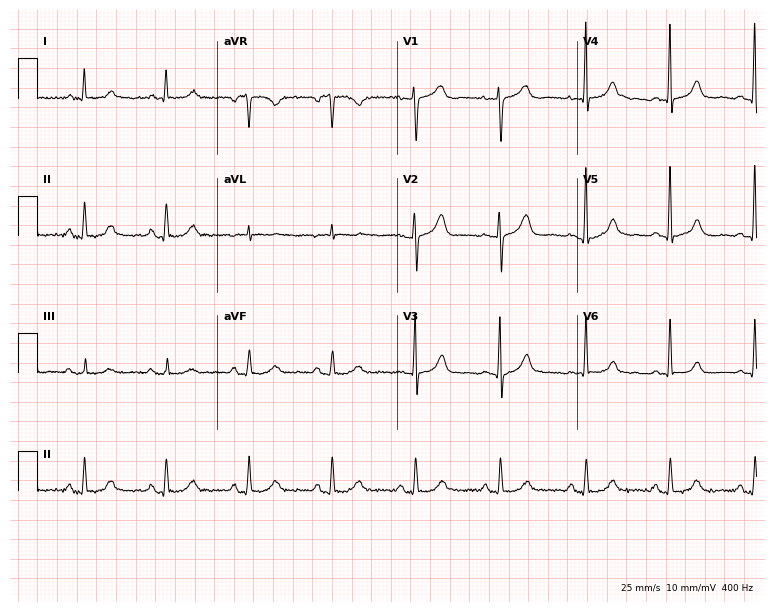
Standard 12-lead ECG recorded from a 76-year-old woman. None of these six findings is recorded: first-degree AV block, right bundle branch block, left bundle branch block, sinus bradycardia, atrial fibrillation, sinus tachycardia.